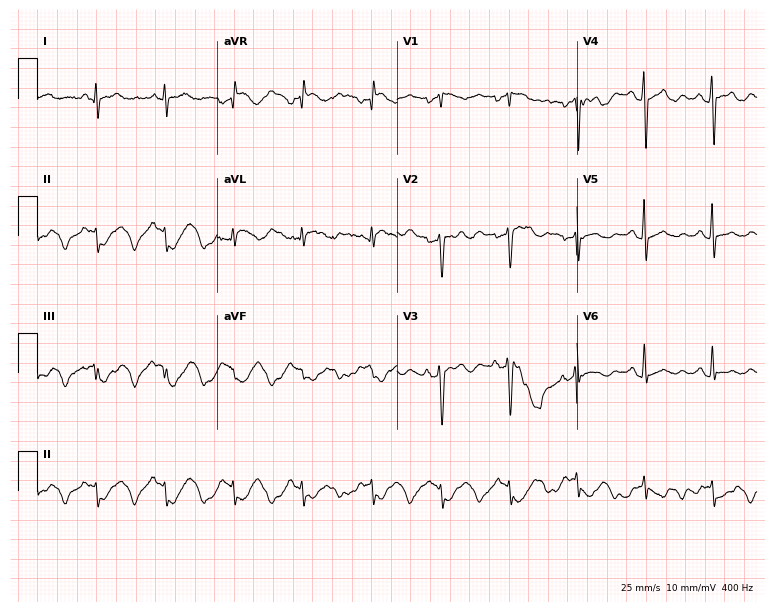
12-lead ECG from a 56-year-old man. No first-degree AV block, right bundle branch block (RBBB), left bundle branch block (LBBB), sinus bradycardia, atrial fibrillation (AF) or sinus tachycardia recorded for this tracing. Only these six findings were labelled.